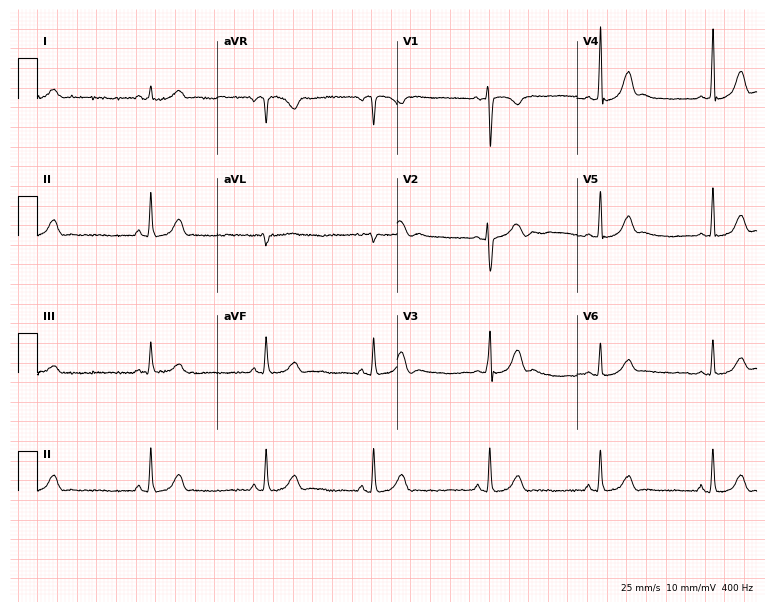
Resting 12-lead electrocardiogram. Patient: a 25-year-old female. None of these six findings is recorded: first-degree AV block, right bundle branch block, left bundle branch block, sinus bradycardia, atrial fibrillation, sinus tachycardia. Only these six findings were labelled.